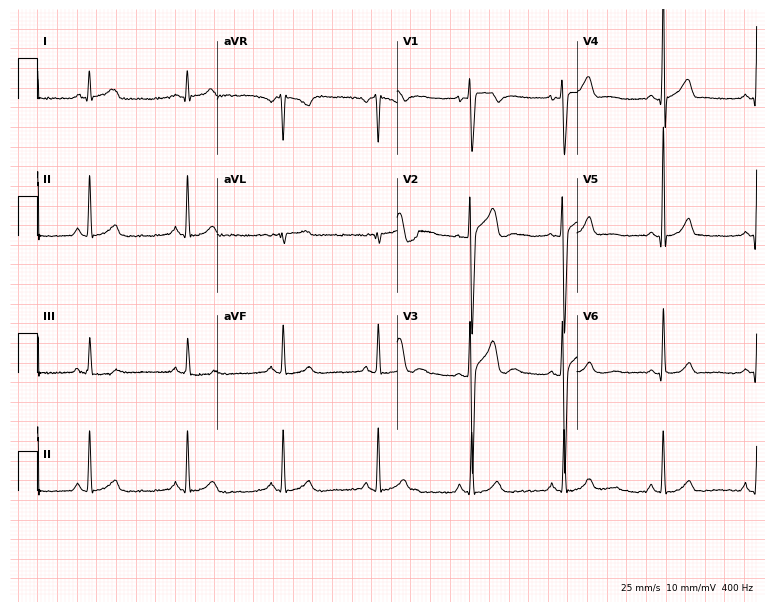
ECG — a man, 18 years old. Screened for six findings — first-degree AV block, right bundle branch block (RBBB), left bundle branch block (LBBB), sinus bradycardia, atrial fibrillation (AF), sinus tachycardia — none is recorded.